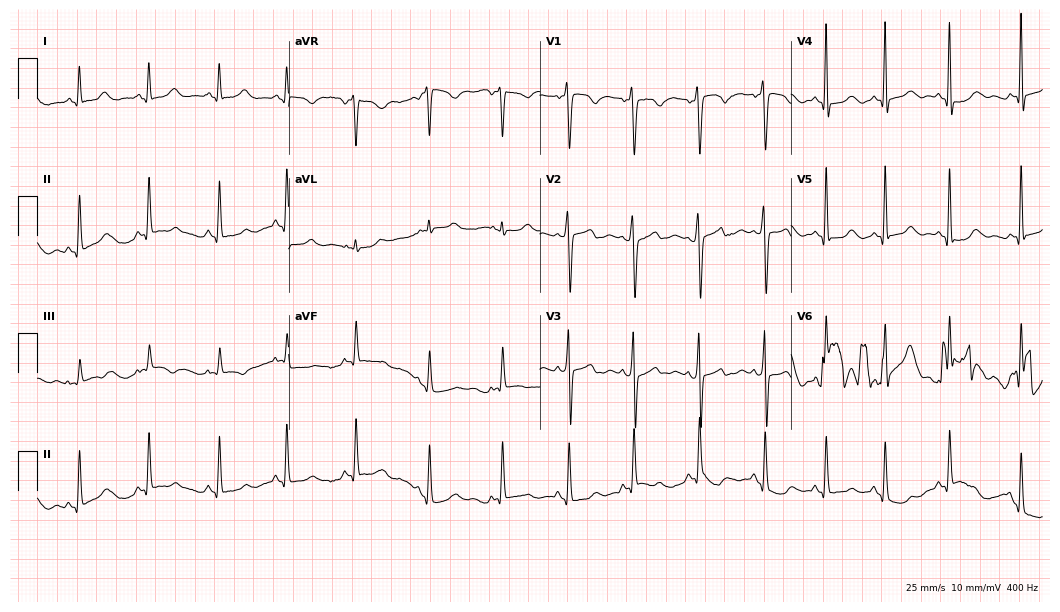
12-lead ECG from a woman, 28 years old (10.2-second recording at 400 Hz). Recorded interpretation: within normal limits.